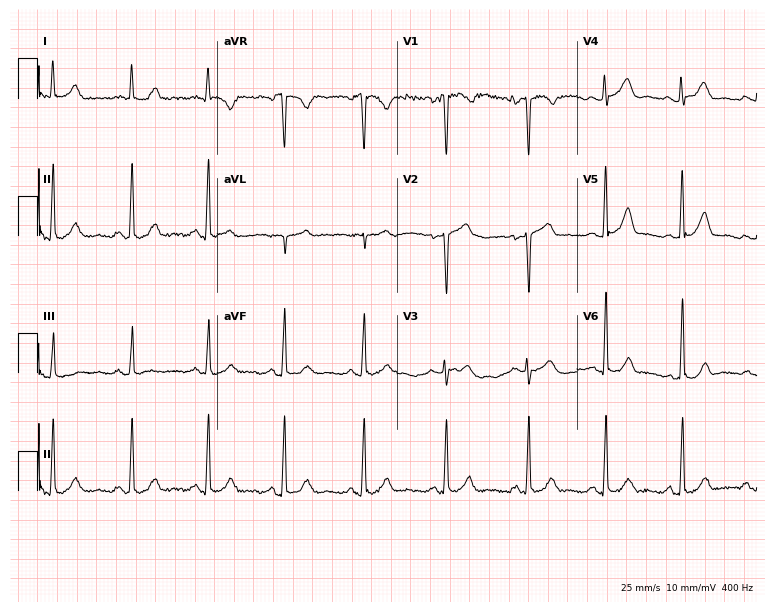
Resting 12-lead electrocardiogram. Patient: a woman, 39 years old. Read as a normal ECG.